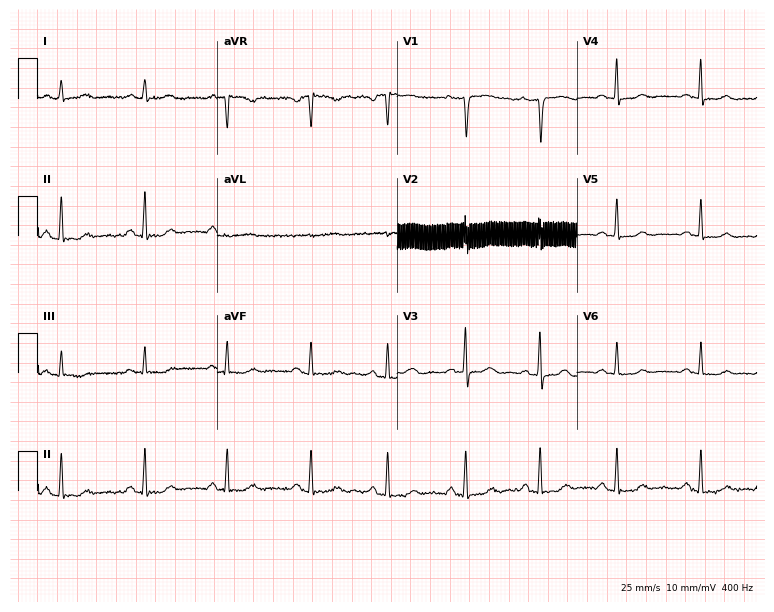
12-lead ECG from a woman, 52 years old. Labelled as a normal ECG.